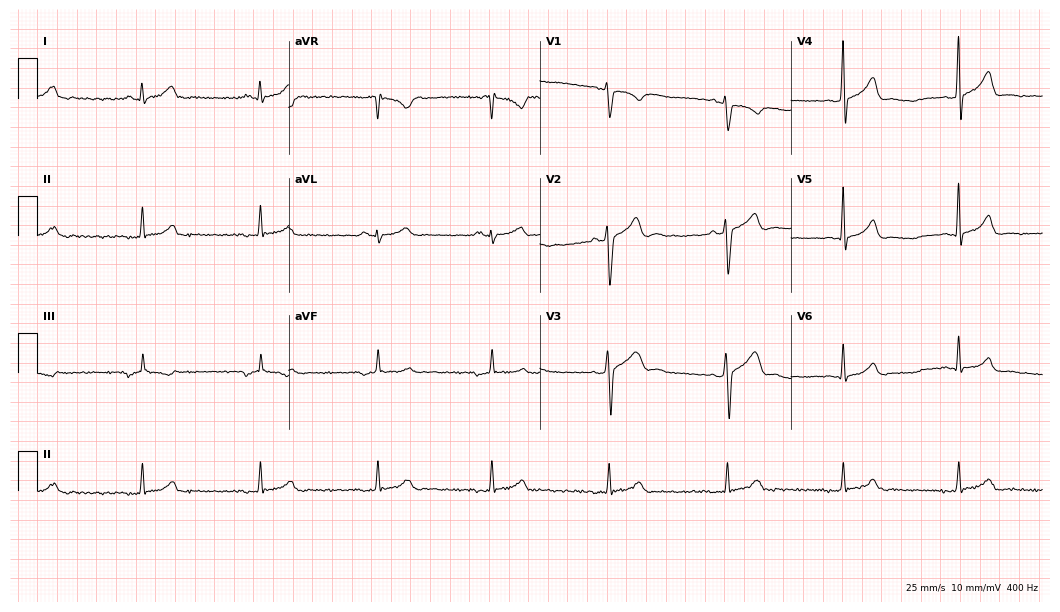
12-lead ECG from a male patient, 38 years old. No first-degree AV block, right bundle branch block, left bundle branch block, sinus bradycardia, atrial fibrillation or sinus tachycardia recorded for this tracing. Other findings, if any, are not listed.